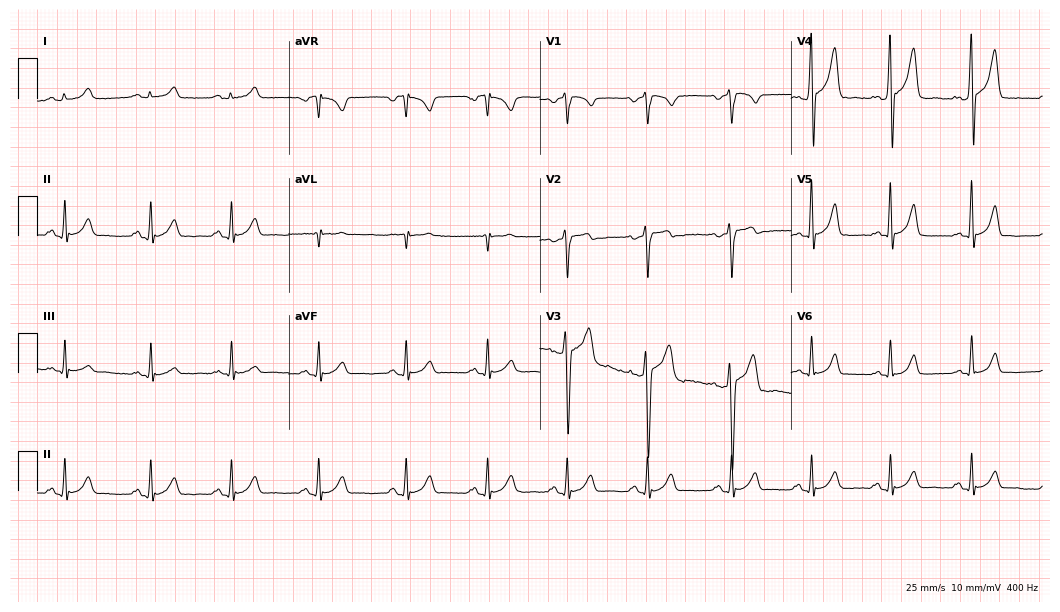
Standard 12-lead ECG recorded from a 33-year-old male. None of these six findings is recorded: first-degree AV block, right bundle branch block, left bundle branch block, sinus bradycardia, atrial fibrillation, sinus tachycardia.